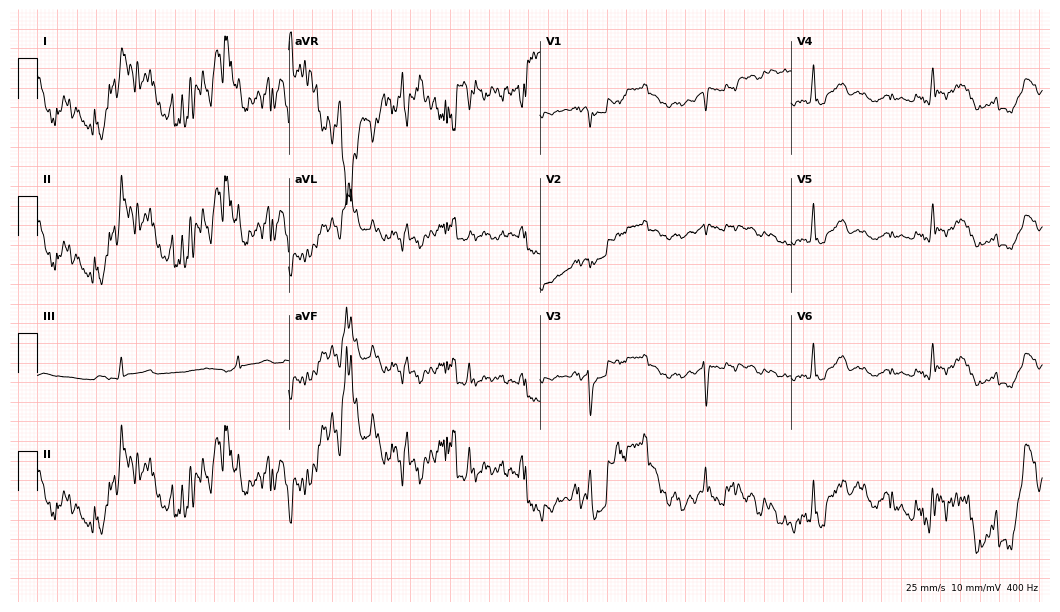
Standard 12-lead ECG recorded from a 23-year-old female patient. None of these six findings is recorded: first-degree AV block, right bundle branch block, left bundle branch block, sinus bradycardia, atrial fibrillation, sinus tachycardia. Findings outside these six are not listed.